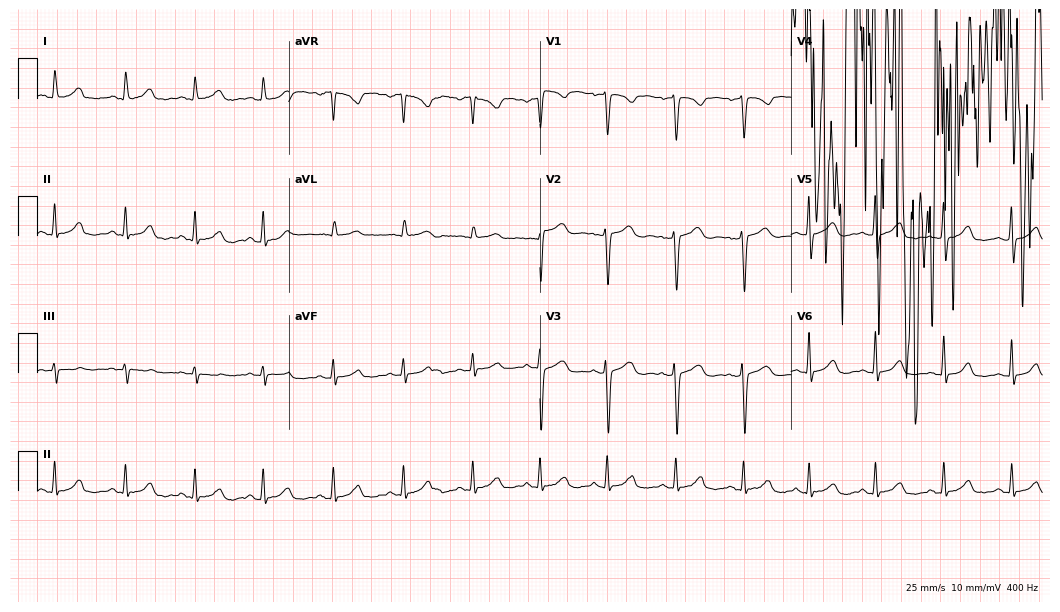
ECG (10.2-second recording at 400 Hz) — a female patient, 40 years old. Screened for six findings — first-degree AV block, right bundle branch block, left bundle branch block, sinus bradycardia, atrial fibrillation, sinus tachycardia — none is recorded. Other findings, if any, are not listed.